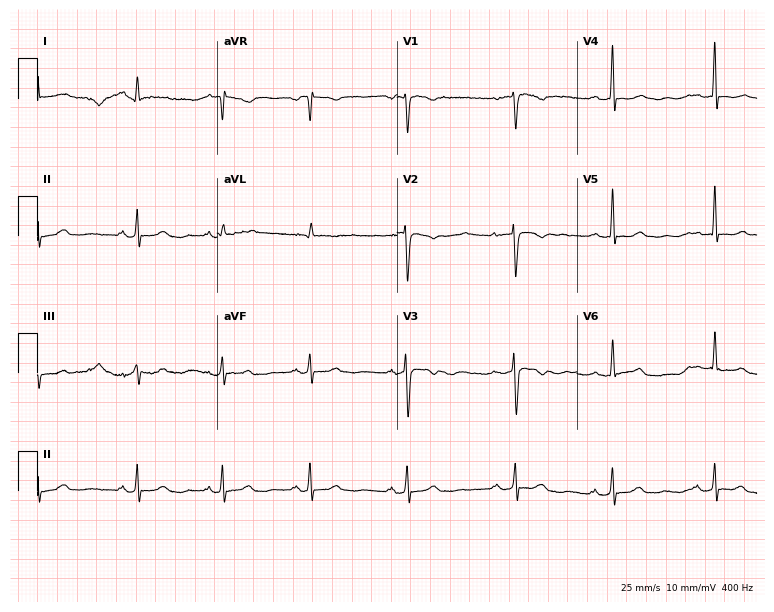
Resting 12-lead electrocardiogram (7.3-second recording at 400 Hz). Patient: a female, 28 years old. None of these six findings is recorded: first-degree AV block, right bundle branch block, left bundle branch block, sinus bradycardia, atrial fibrillation, sinus tachycardia. Only these six findings were labelled.